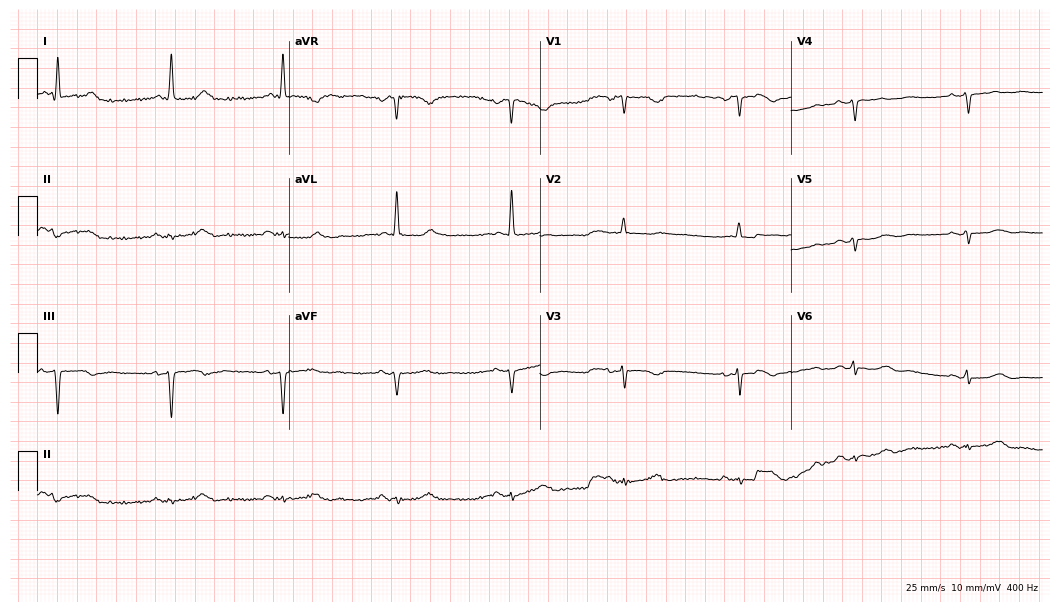
12-lead ECG (10.2-second recording at 400 Hz) from a 74-year-old female. Screened for six findings — first-degree AV block, right bundle branch block, left bundle branch block, sinus bradycardia, atrial fibrillation, sinus tachycardia — none is recorded. Only these six findings were labelled.